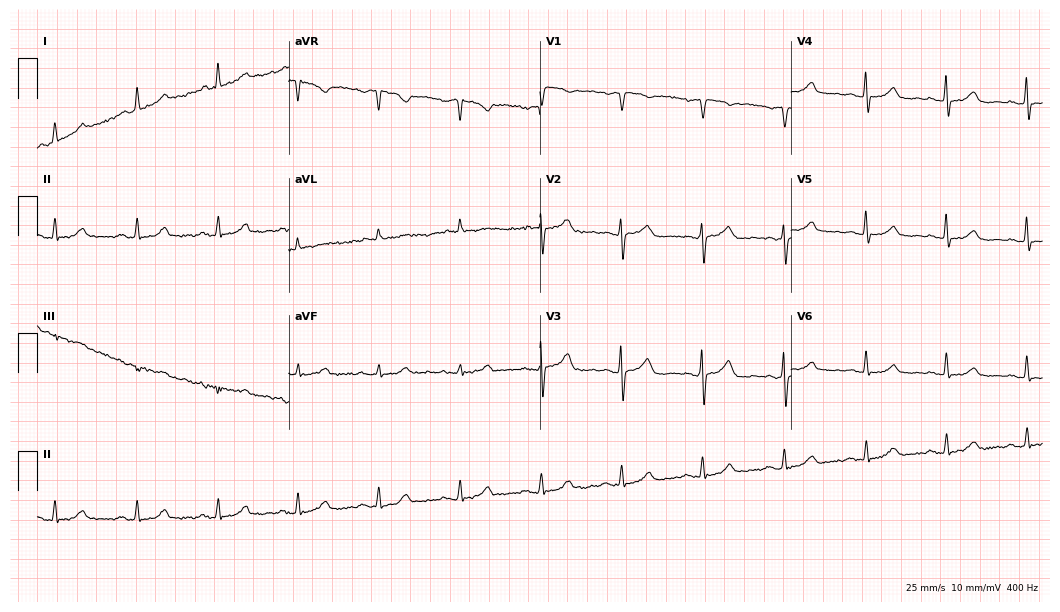
12-lead ECG from a 54-year-old female. No first-degree AV block, right bundle branch block (RBBB), left bundle branch block (LBBB), sinus bradycardia, atrial fibrillation (AF) or sinus tachycardia recorded for this tracing.